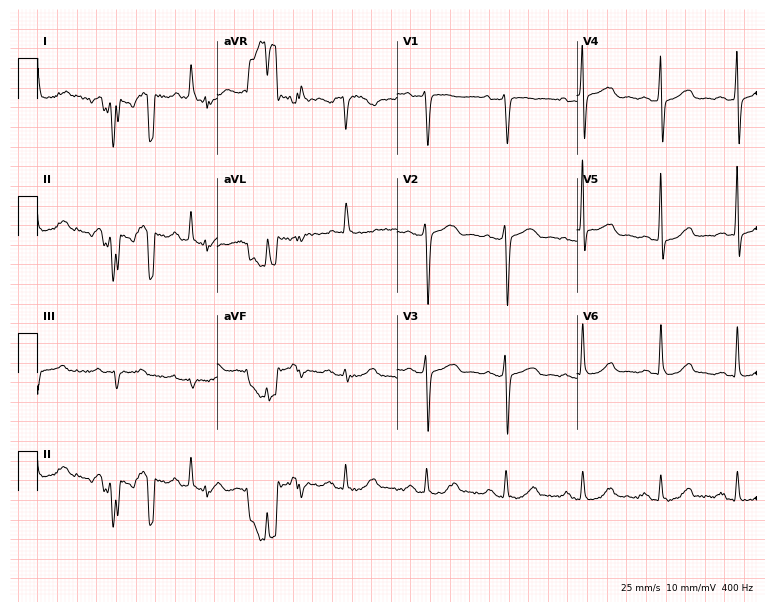
12-lead ECG from a 56-year-old female (7.3-second recording at 400 Hz). No first-degree AV block, right bundle branch block, left bundle branch block, sinus bradycardia, atrial fibrillation or sinus tachycardia recorded for this tracing. Only these six findings were labelled.